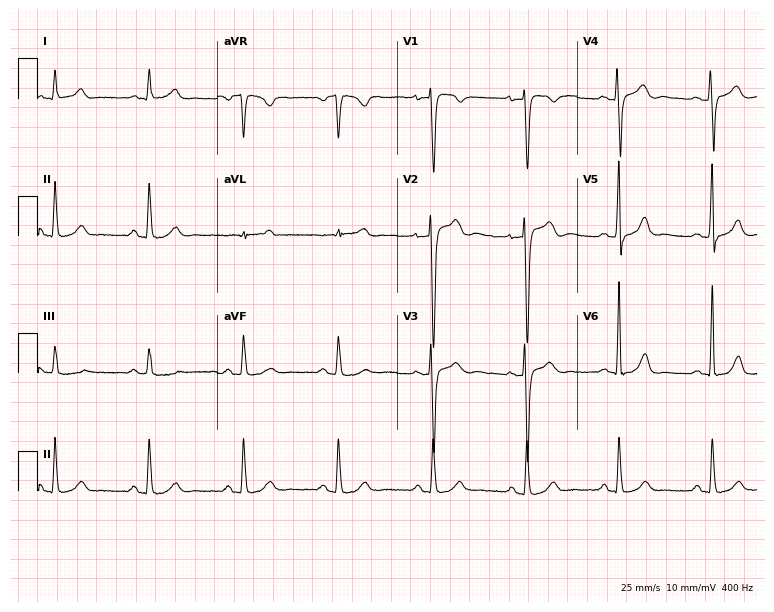
Standard 12-lead ECG recorded from a 37-year-old male. Read as a normal ECG.